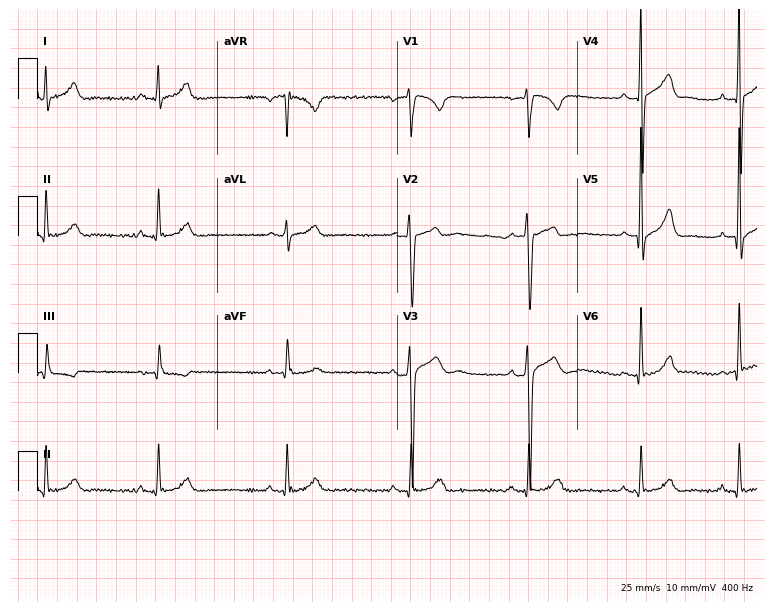
ECG — a 36-year-old man. Findings include sinus bradycardia (a sinus rate of 50 beats per minute or less).